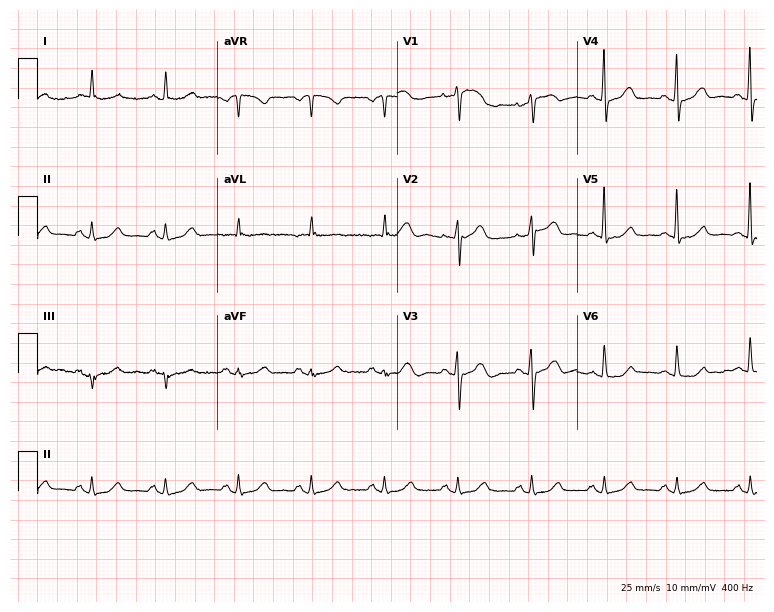
12-lead ECG from a male patient, 64 years old. Screened for six findings — first-degree AV block, right bundle branch block, left bundle branch block, sinus bradycardia, atrial fibrillation, sinus tachycardia — none is recorded.